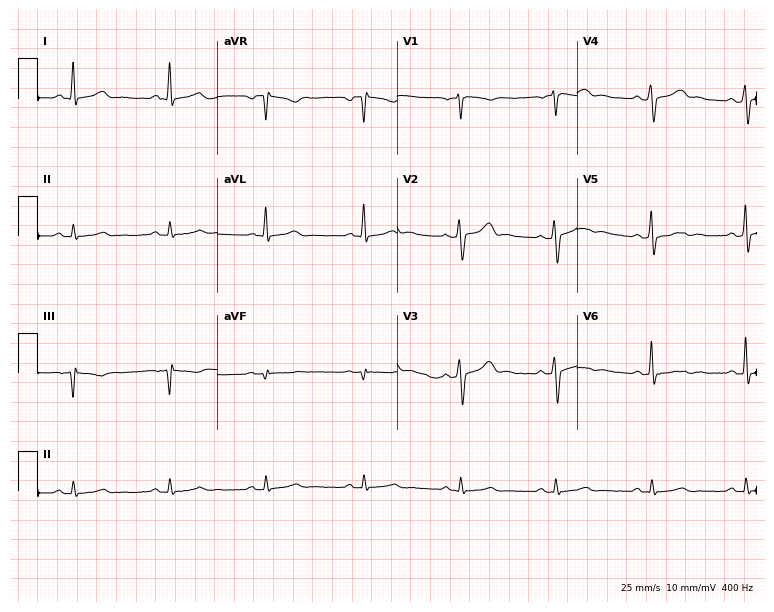
12-lead ECG from a man, 43 years old. Screened for six findings — first-degree AV block, right bundle branch block (RBBB), left bundle branch block (LBBB), sinus bradycardia, atrial fibrillation (AF), sinus tachycardia — none is recorded.